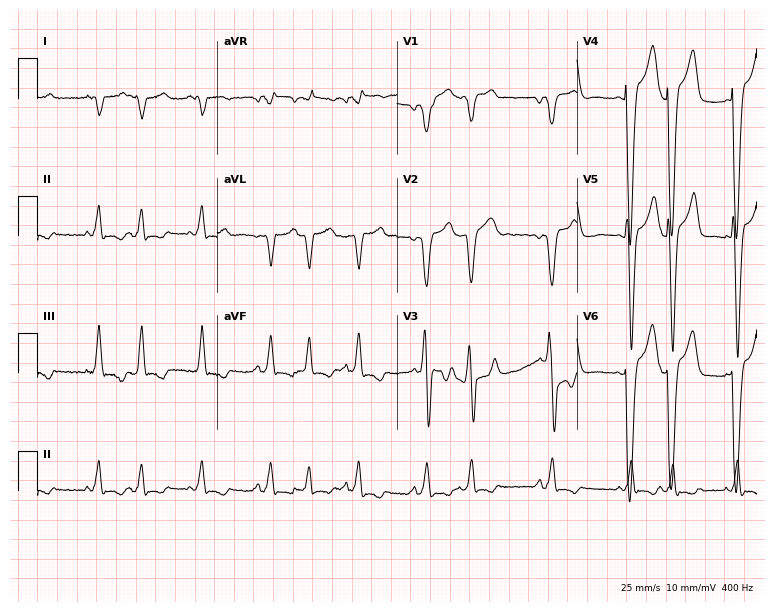
Resting 12-lead electrocardiogram (7.3-second recording at 400 Hz). Patient: a 71-year-old man. None of these six findings is recorded: first-degree AV block, right bundle branch block, left bundle branch block, sinus bradycardia, atrial fibrillation, sinus tachycardia.